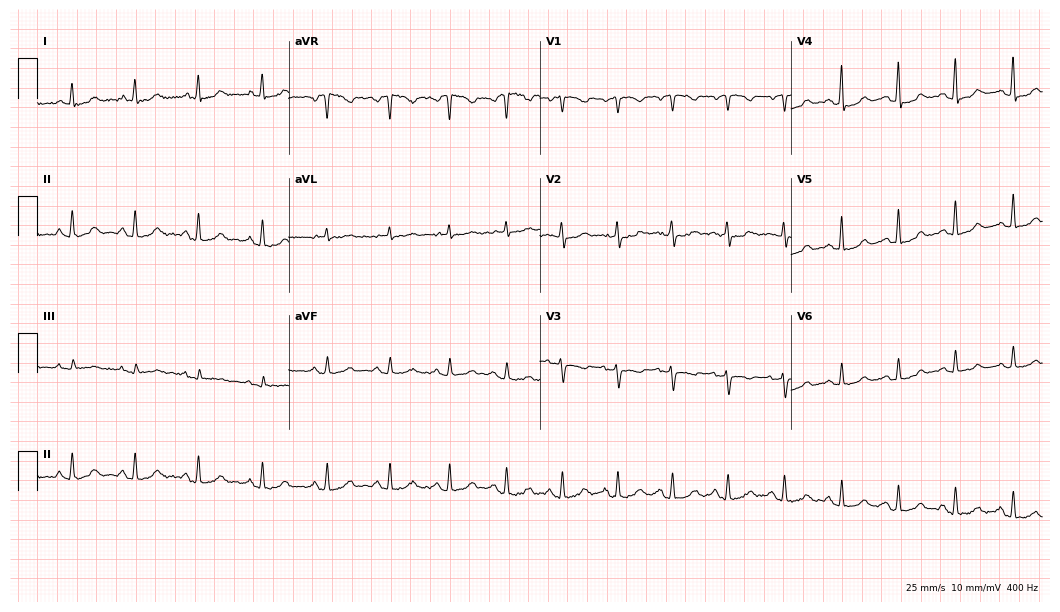
ECG — a 57-year-old female. Screened for six findings — first-degree AV block, right bundle branch block (RBBB), left bundle branch block (LBBB), sinus bradycardia, atrial fibrillation (AF), sinus tachycardia — none is recorded. Findings outside these six are not listed.